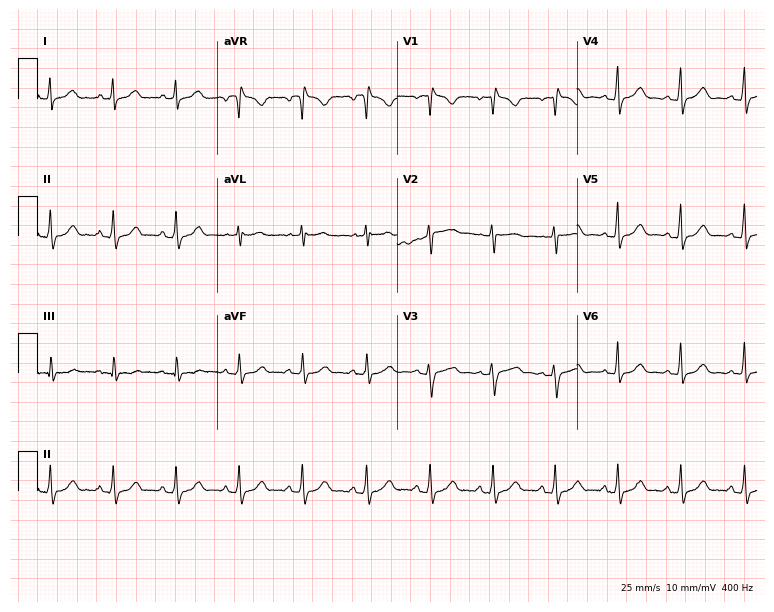
Standard 12-lead ECG recorded from a 32-year-old woman. Read as a normal ECG.